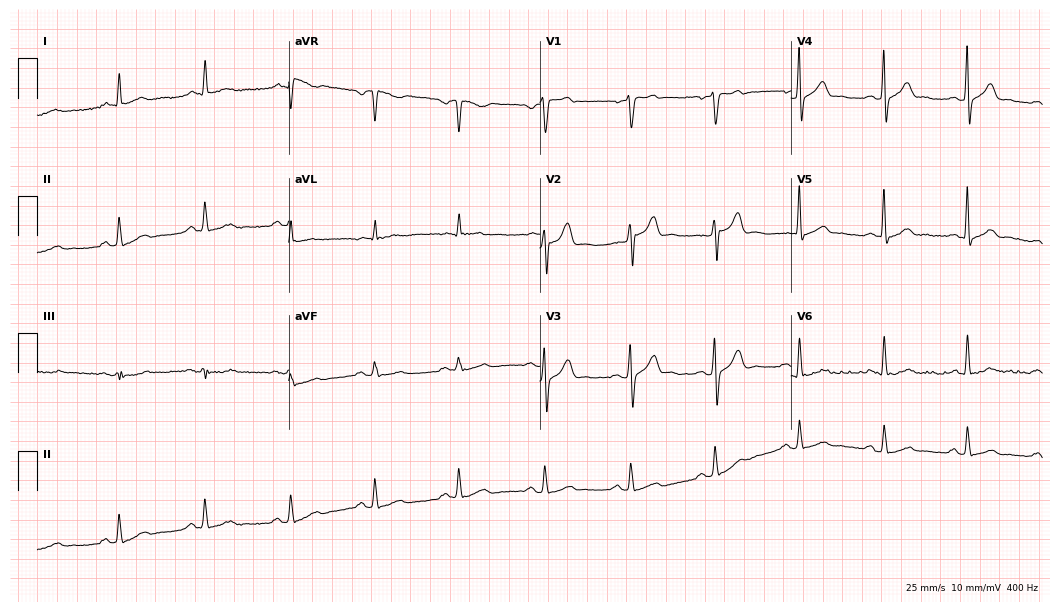
12-lead ECG from a male, 46 years old. Recorded interpretation: within normal limits.